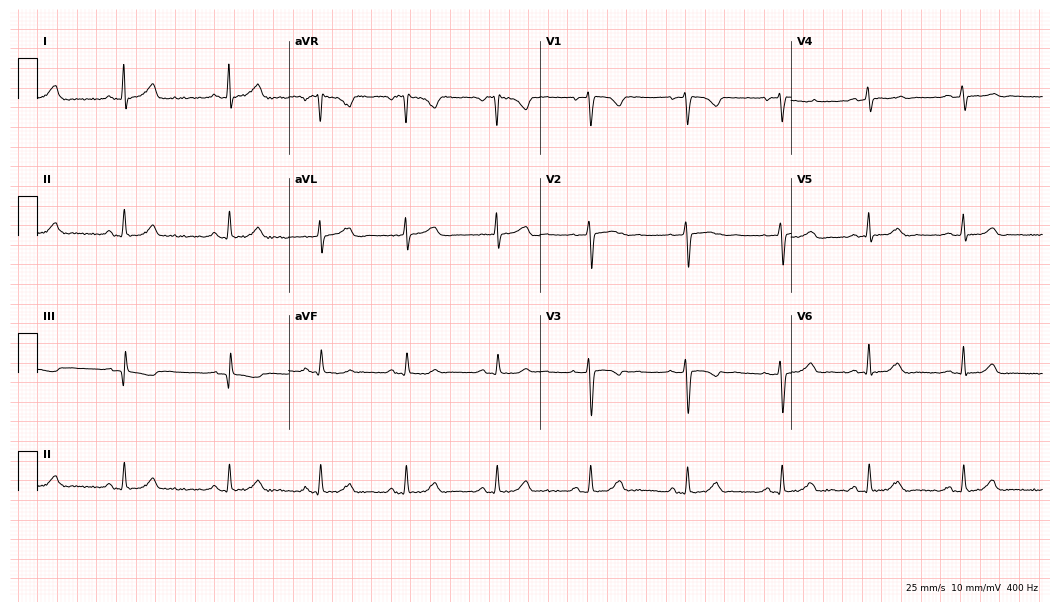
ECG (10.2-second recording at 400 Hz) — a woman, 28 years old. Labelled as a normal ECG.